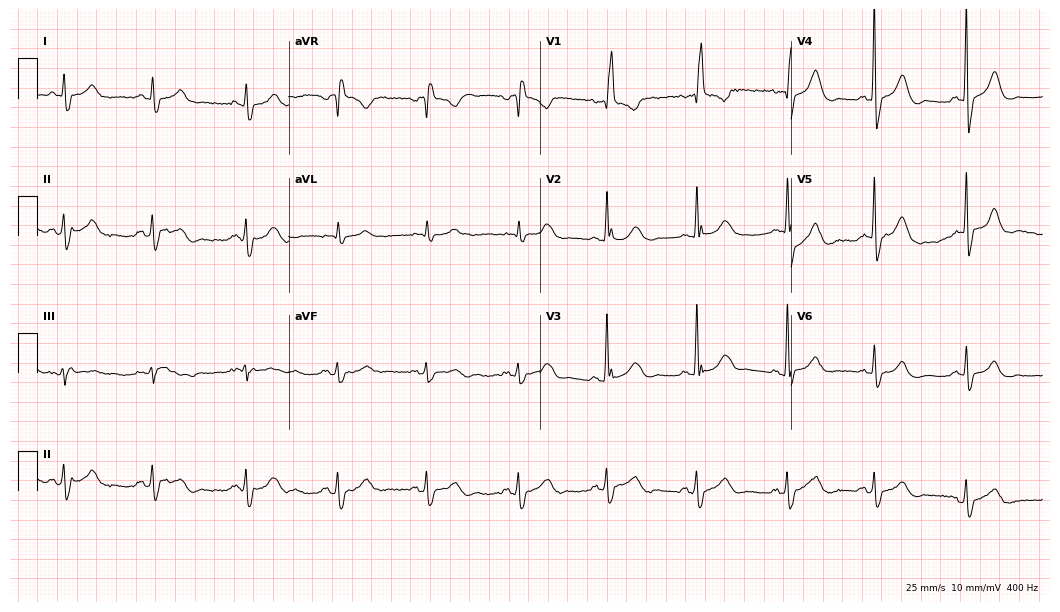
Standard 12-lead ECG recorded from a female patient, 79 years old (10.2-second recording at 400 Hz). The tracing shows right bundle branch block (RBBB).